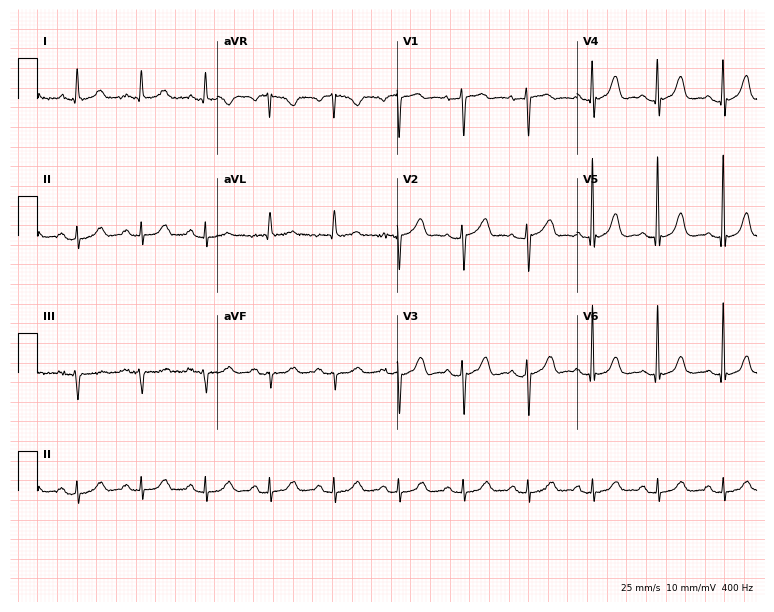
Standard 12-lead ECG recorded from a 77-year-old female (7.3-second recording at 400 Hz). Read as a normal ECG.